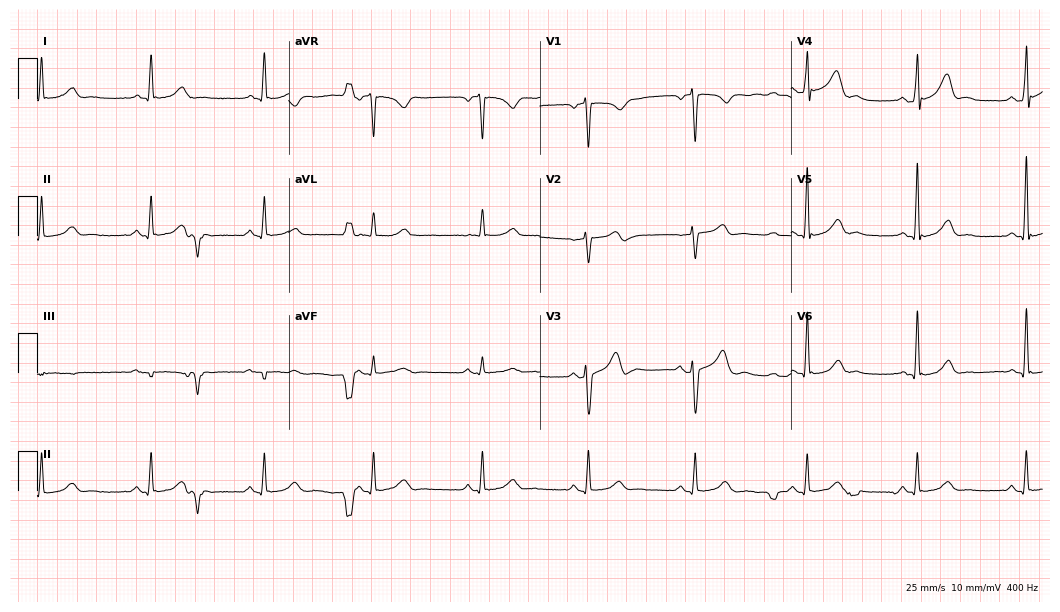
Electrocardiogram, a 55-year-old man. Of the six screened findings (first-degree AV block, right bundle branch block (RBBB), left bundle branch block (LBBB), sinus bradycardia, atrial fibrillation (AF), sinus tachycardia), none is recorded. Other findings, if any, are not listed.